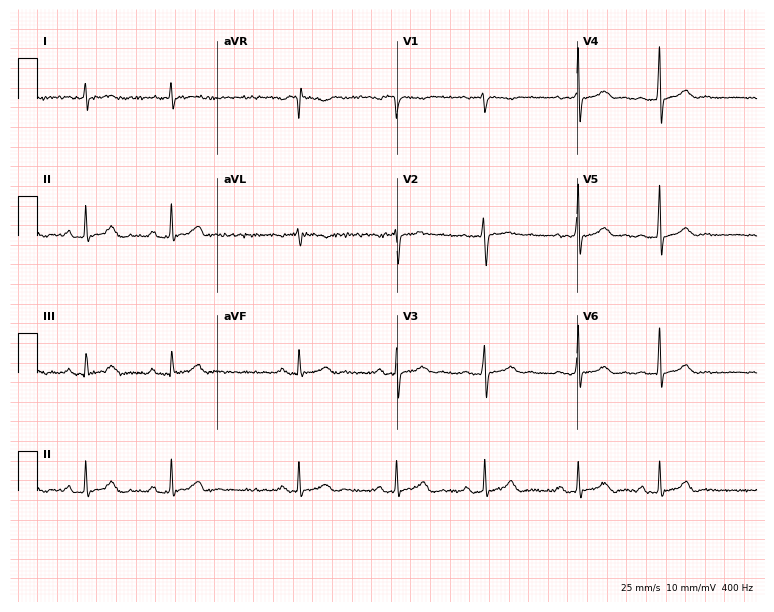
12-lead ECG from a 19-year-old female patient. No first-degree AV block, right bundle branch block, left bundle branch block, sinus bradycardia, atrial fibrillation or sinus tachycardia recorded for this tracing.